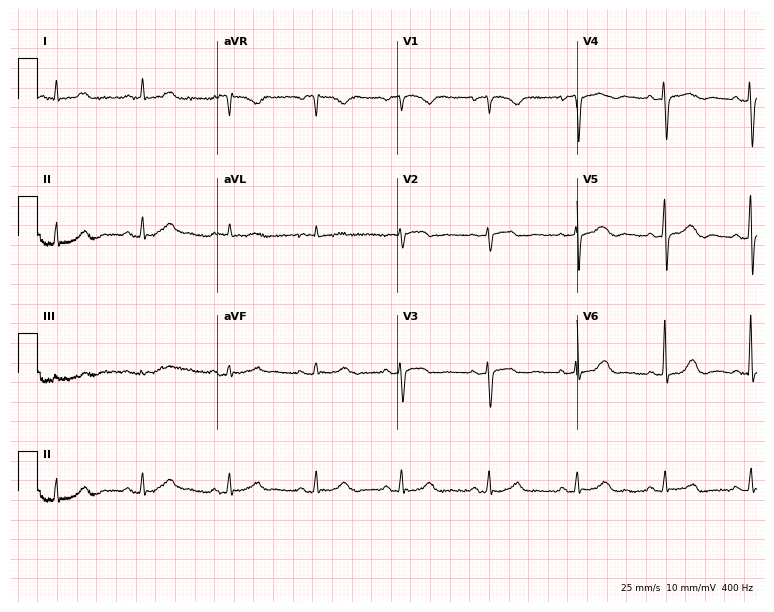
ECG — a 74-year-old female patient. Labelled as a normal ECG.